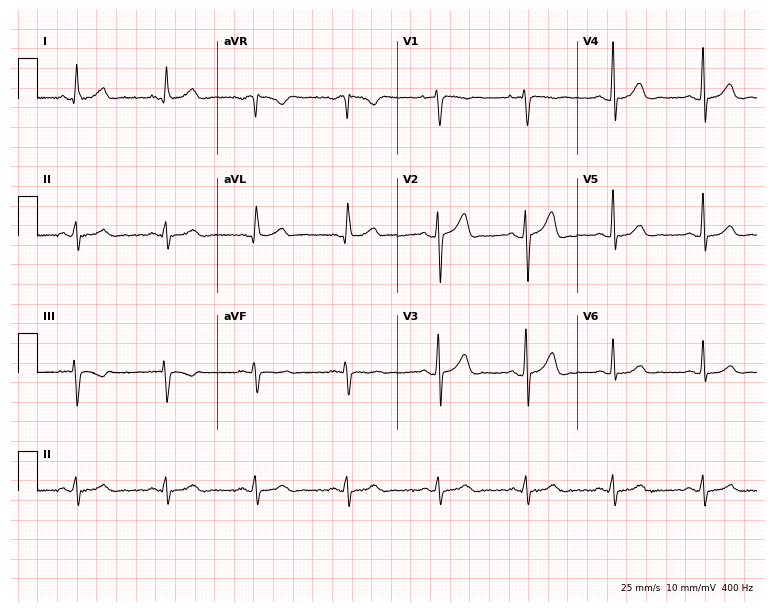
12-lead ECG from a 41-year-old man (7.3-second recording at 400 Hz). Recorded interpretation: within normal limits.